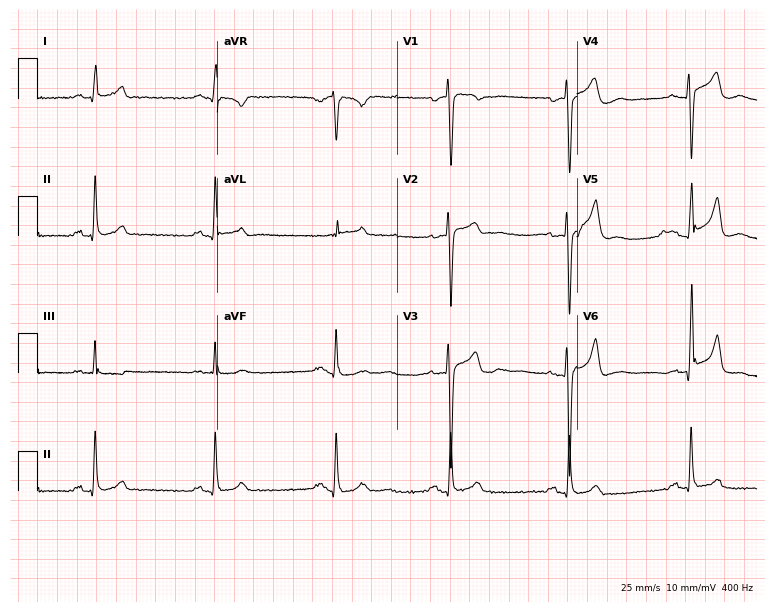
Standard 12-lead ECG recorded from a male, 47 years old (7.3-second recording at 400 Hz). None of these six findings is recorded: first-degree AV block, right bundle branch block, left bundle branch block, sinus bradycardia, atrial fibrillation, sinus tachycardia. Other findings, if any, are not listed.